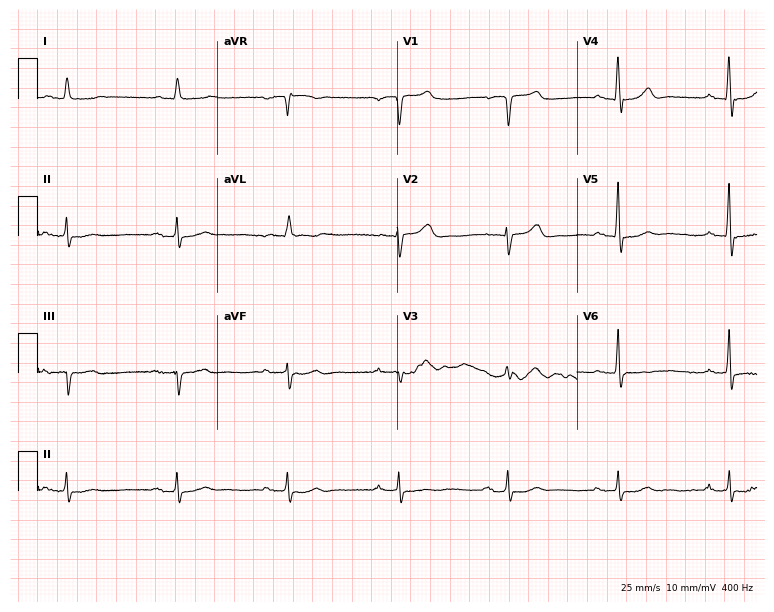
Electrocardiogram, a male, 85 years old. Of the six screened findings (first-degree AV block, right bundle branch block, left bundle branch block, sinus bradycardia, atrial fibrillation, sinus tachycardia), none is recorded. Findings outside these six are not listed.